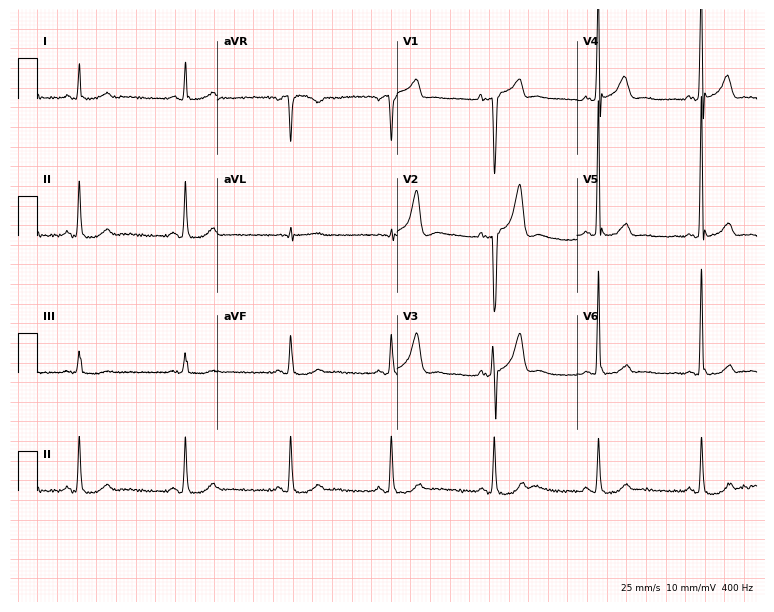
12-lead ECG (7.3-second recording at 400 Hz) from a male patient, 49 years old. Screened for six findings — first-degree AV block, right bundle branch block, left bundle branch block, sinus bradycardia, atrial fibrillation, sinus tachycardia — none is recorded. Findings outside these six are not listed.